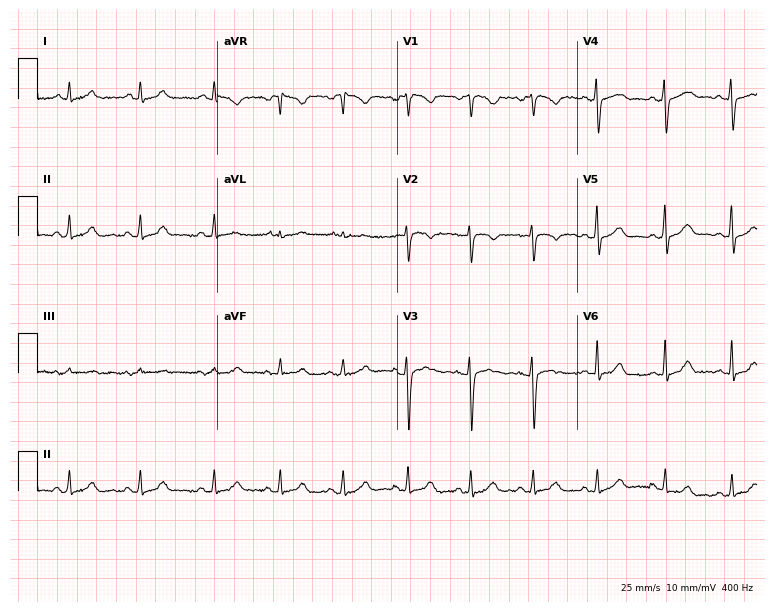
12-lead ECG from a 21-year-old female. No first-degree AV block, right bundle branch block, left bundle branch block, sinus bradycardia, atrial fibrillation or sinus tachycardia recorded for this tracing. Only these six findings were labelled.